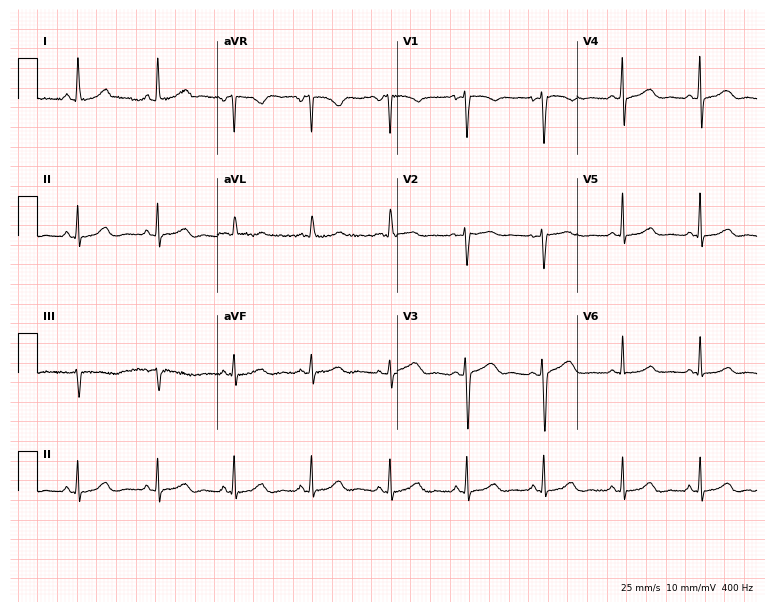
Standard 12-lead ECG recorded from a 39-year-old female (7.3-second recording at 400 Hz). Read as a normal ECG.